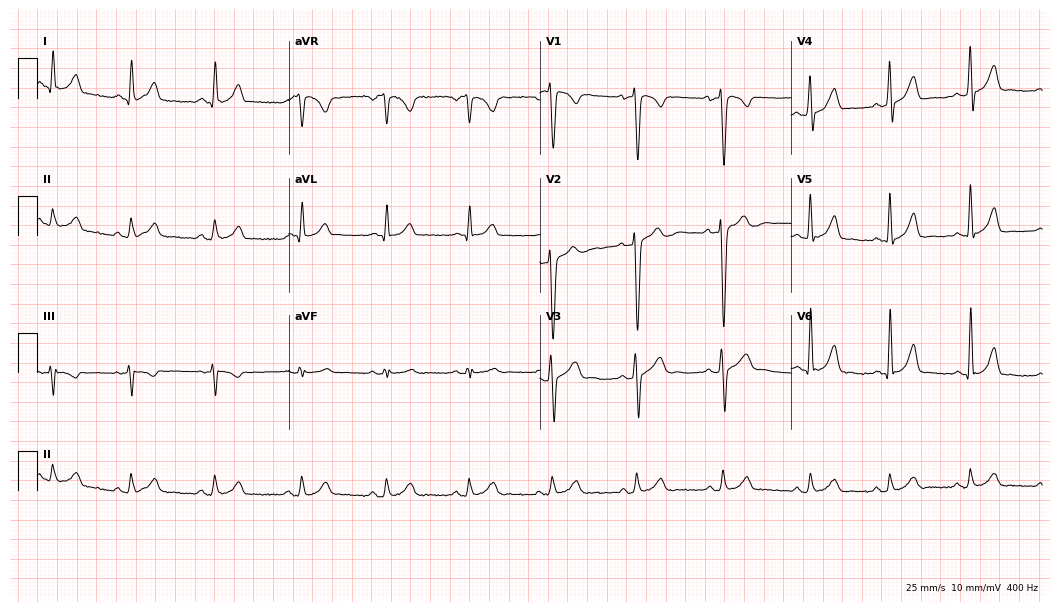
ECG (10.2-second recording at 400 Hz) — a 26-year-old male. Labelled as a normal ECG.